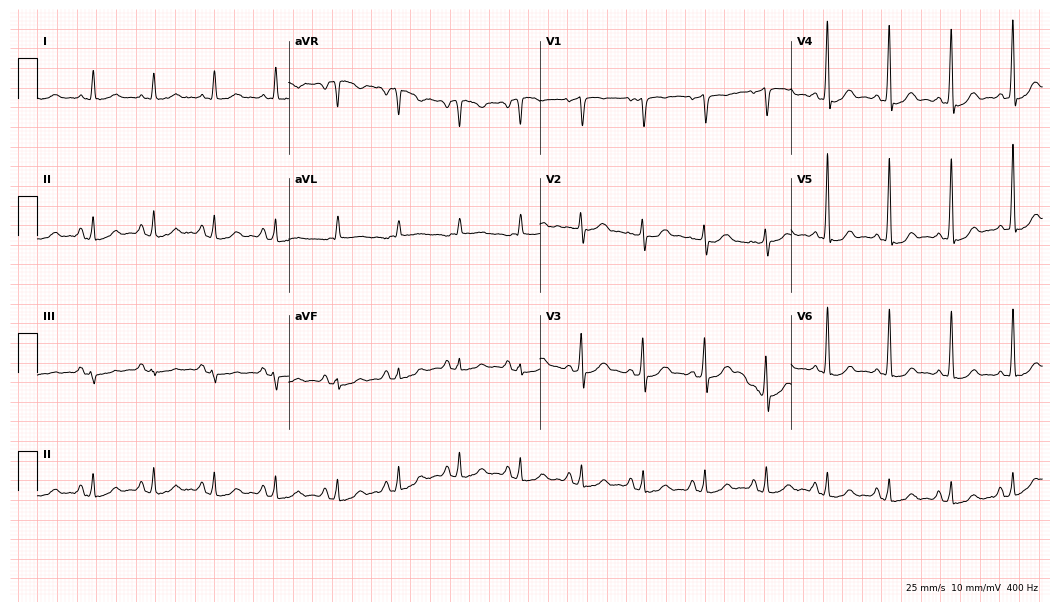
Resting 12-lead electrocardiogram. Patient: a 72-year-old male. None of these six findings is recorded: first-degree AV block, right bundle branch block, left bundle branch block, sinus bradycardia, atrial fibrillation, sinus tachycardia.